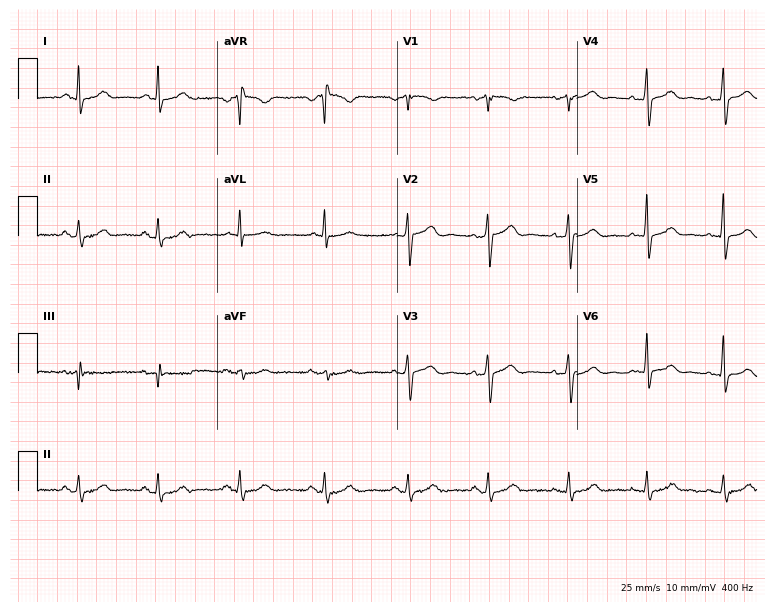
Standard 12-lead ECG recorded from a 45-year-old female patient. None of these six findings is recorded: first-degree AV block, right bundle branch block, left bundle branch block, sinus bradycardia, atrial fibrillation, sinus tachycardia. Other findings, if any, are not listed.